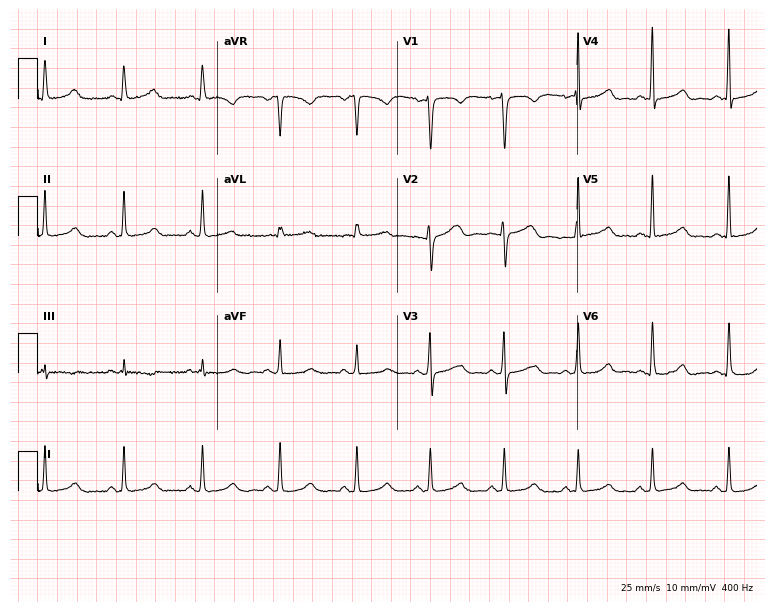
12-lead ECG (7.3-second recording at 400 Hz) from a 47-year-old female patient. Screened for six findings — first-degree AV block, right bundle branch block, left bundle branch block, sinus bradycardia, atrial fibrillation, sinus tachycardia — none is recorded.